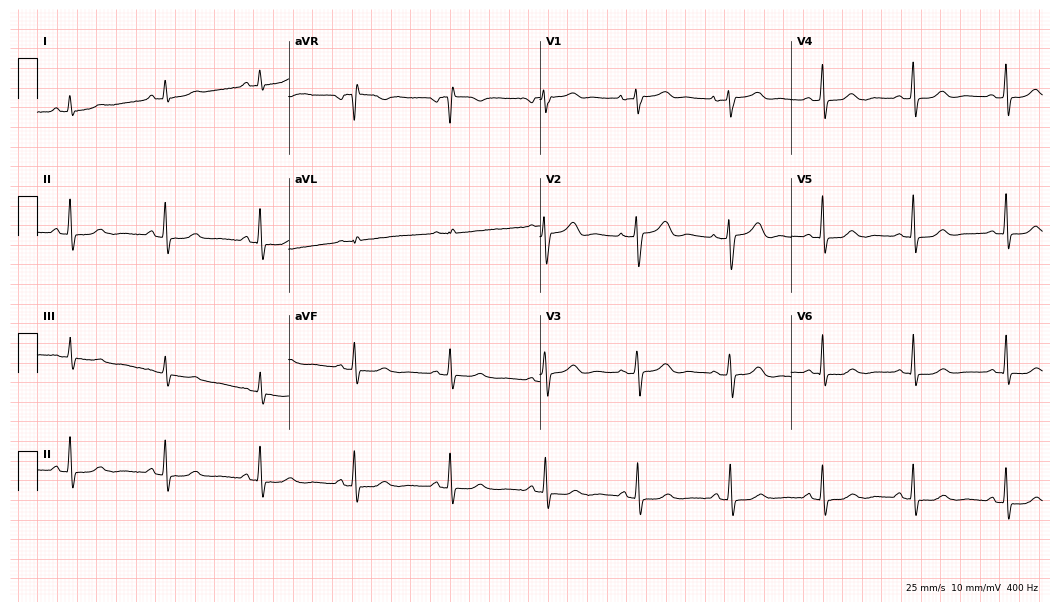
Resting 12-lead electrocardiogram (10.2-second recording at 400 Hz). Patient: a 34-year-old female. Read as a normal ECG.